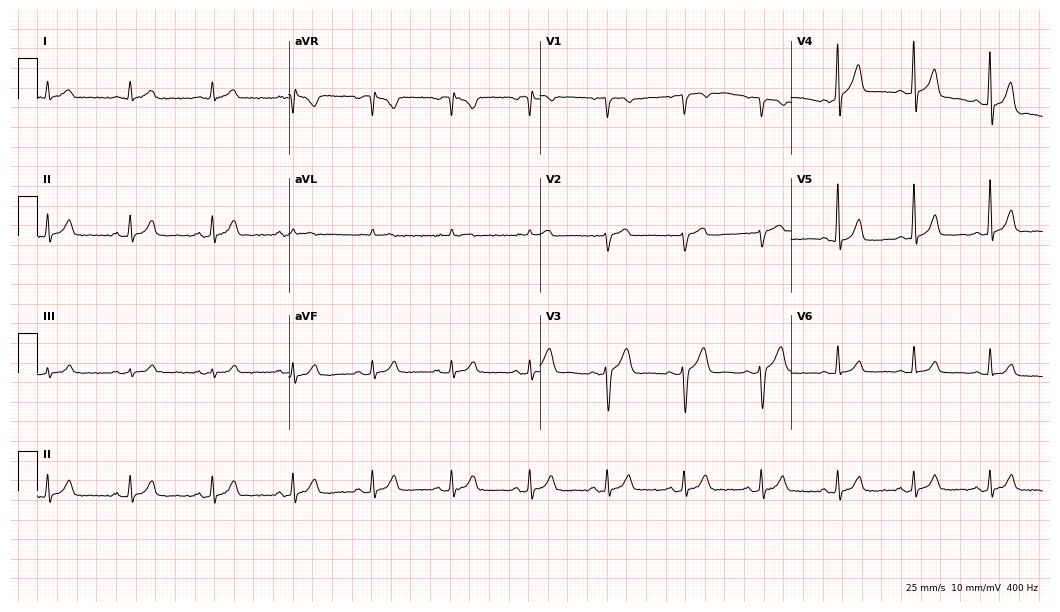
Electrocardiogram, a 60-year-old male. Overall reading on record: normal ECG.